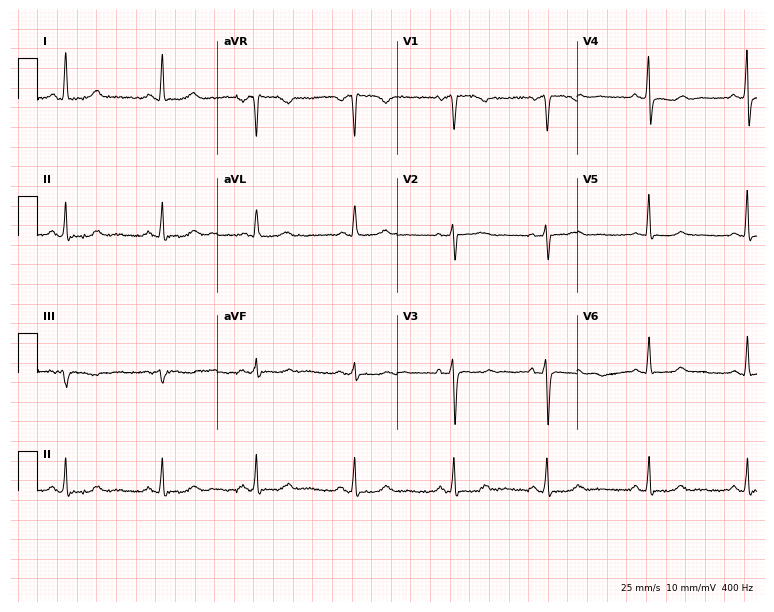
ECG — a 54-year-old female. Labelled as a normal ECG.